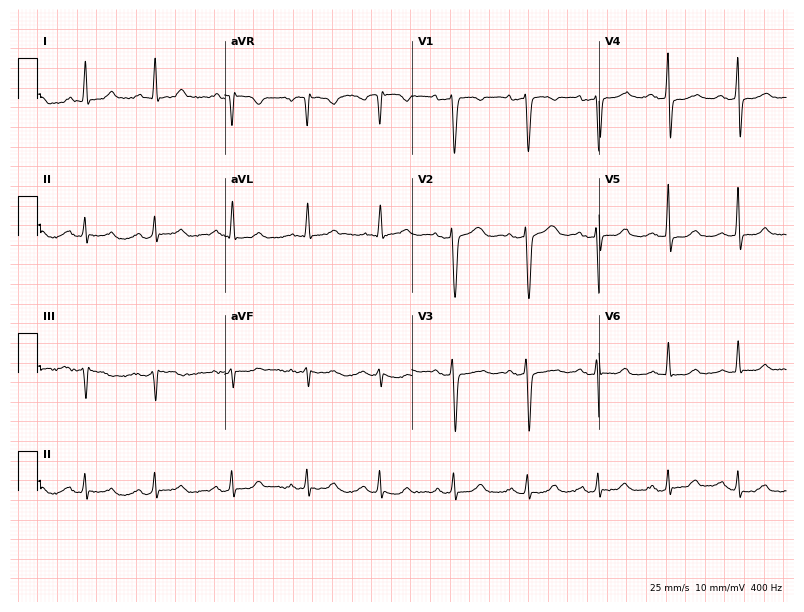
12-lead ECG from a female, 55 years old (7.6-second recording at 400 Hz). Recorded interpretation: within normal limits.